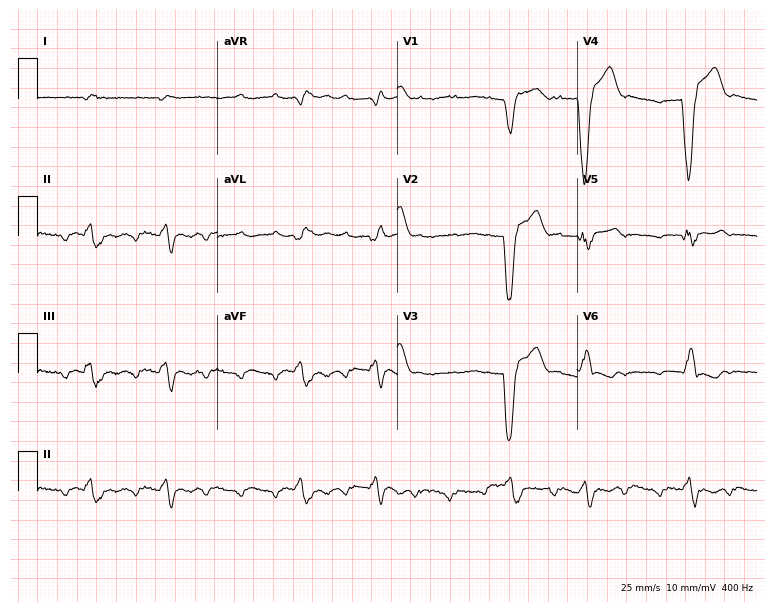
Standard 12-lead ECG recorded from a 68-year-old male patient (7.3-second recording at 400 Hz). None of these six findings is recorded: first-degree AV block, right bundle branch block, left bundle branch block, sinus bradycardia, atrial fibrillation, sinus tachycardia. Only these six findings were labelled.